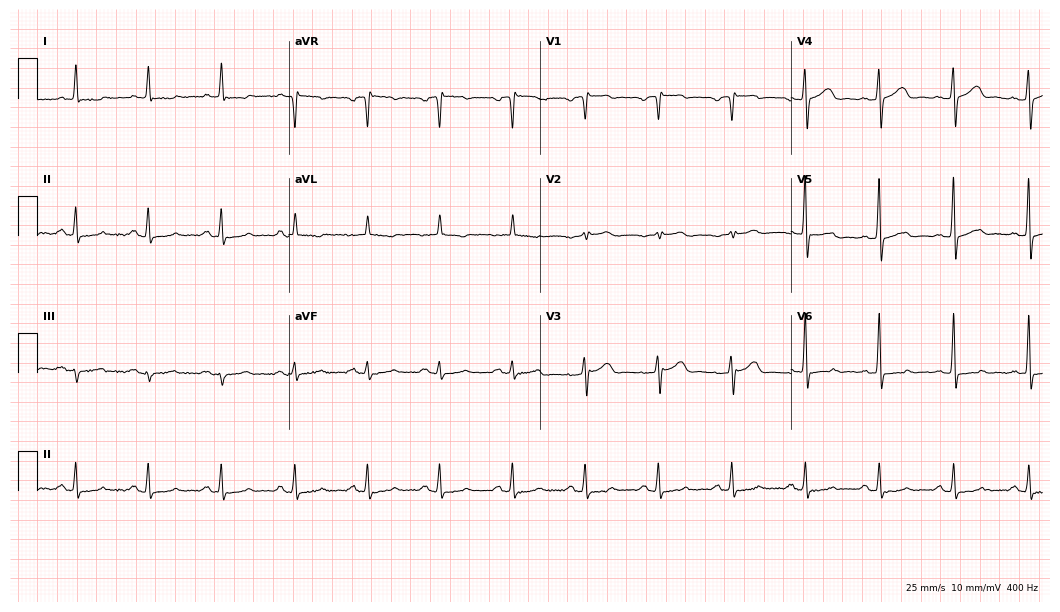
12-lead ECG (10.2-second recording at 400 Hz) from a man, 73 years old. Screened for six findings — first-degree AV block, right bundle branch block (RBBB), left bundle branch block (LBBB), sinus bradycardia, atrial fibrillation (AF), sinus tachycardia — none is recorded. Only these six findings were labelled.